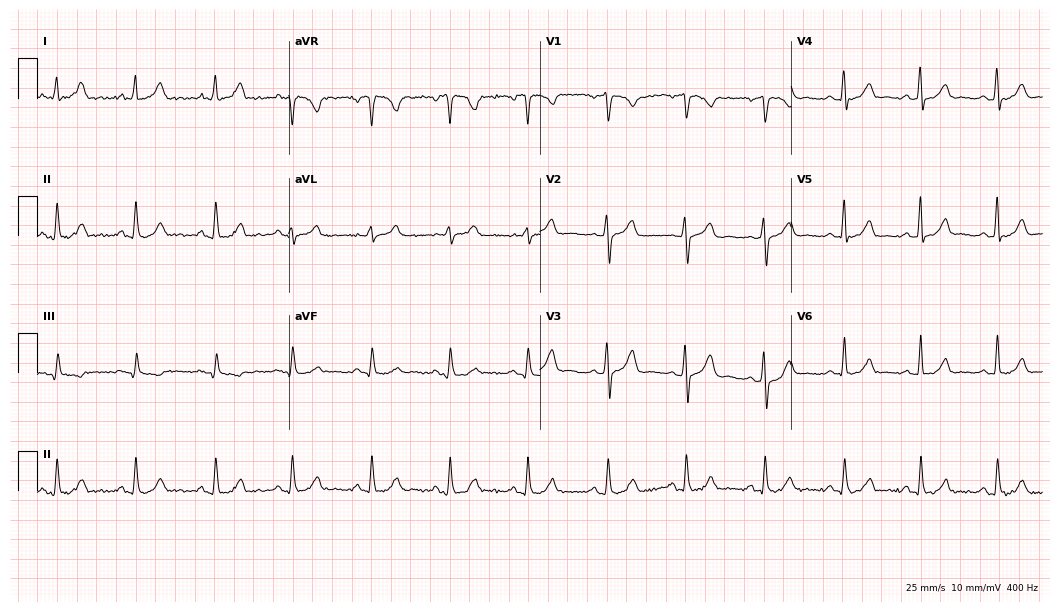
ECG (10.2-second recording at 400 Hz) — a female, 49 years old. Labelled as a normal ECG.